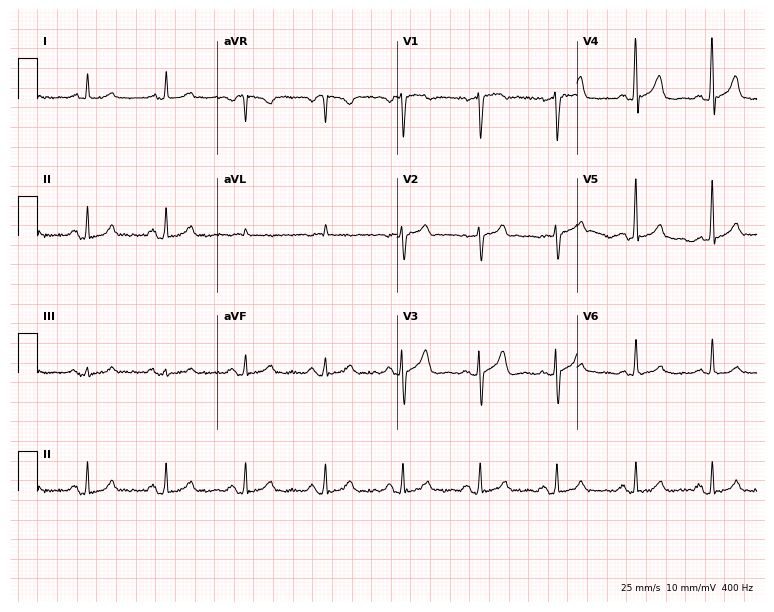
Standard 12-lead ECG recorded from a 72-year-old male. Read as a normal ECG.